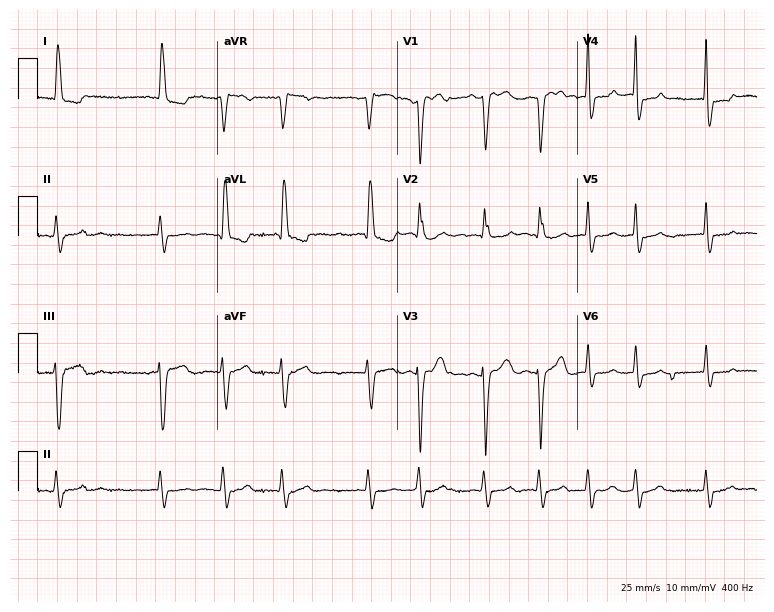
12-lead ECG from a female, 77 years old. Findings include atrial fibrillation.